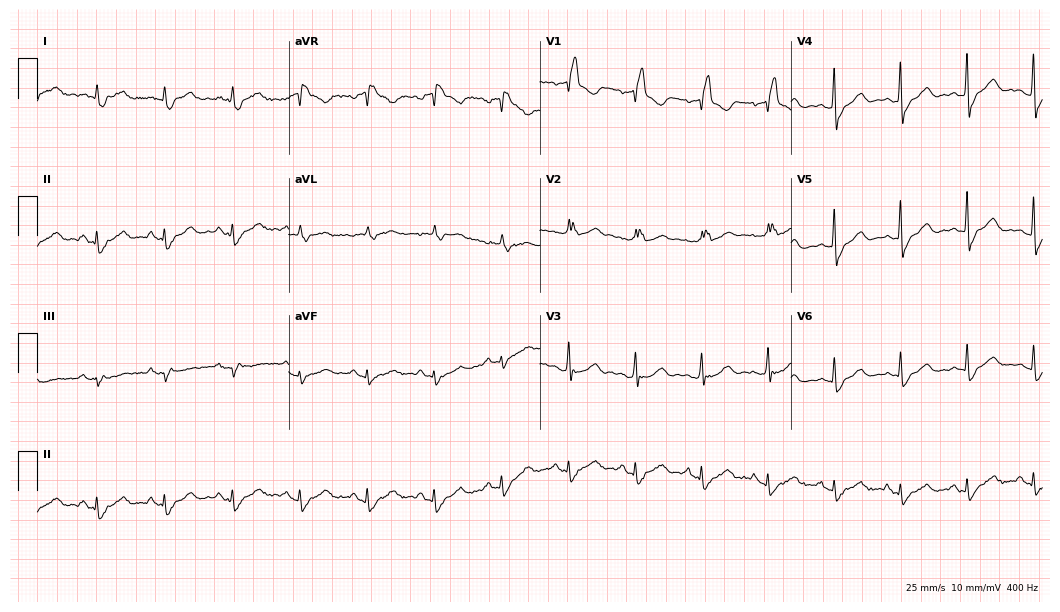
ECG — a 76-year-old female. Findings include right bundle branch block (RBBB).